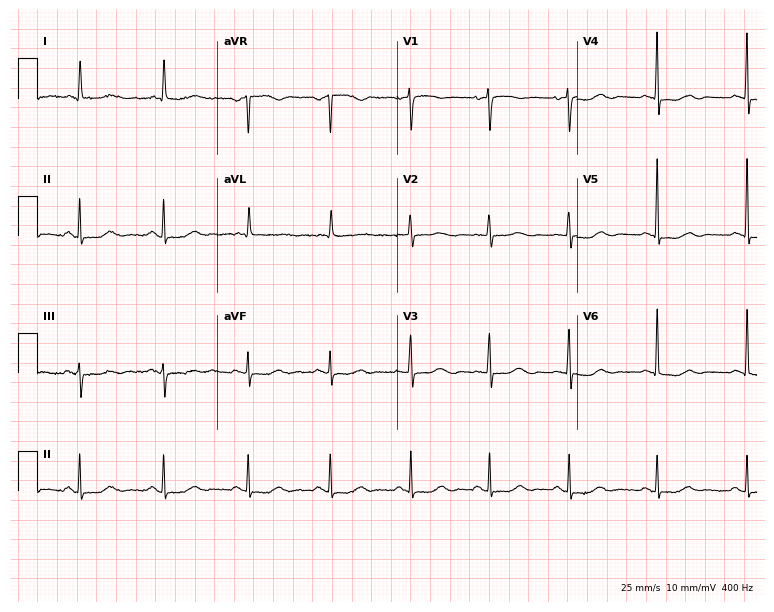
Standard 12-lead ECG recorded from a 77-year-old female patient. None of these six findings is recorded: first-degree AV block, right bundle branch block (RBBB), left bundle branch block (LBBB), sinus bradycardia, atrial fibrillation (AF), sinus tachycardia. Only these six findings were labelled.